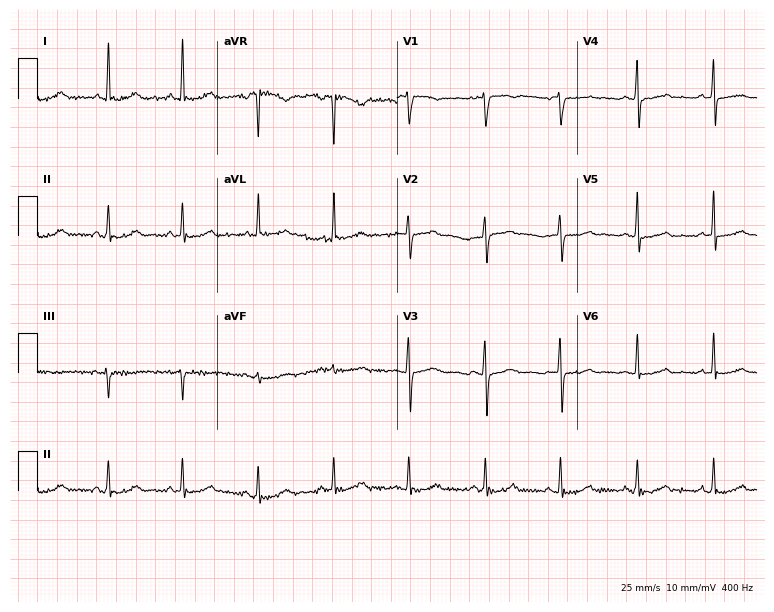
12-lead ECG from an 83-year-old female. Labelled as a normal ECG.